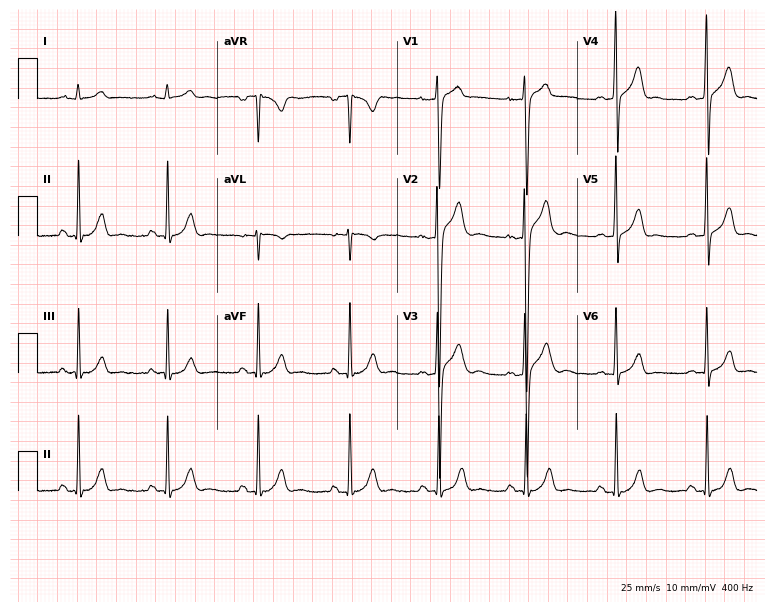
12-lead ECG from a 23-year-old male patient. Labelled as a normal ECG.